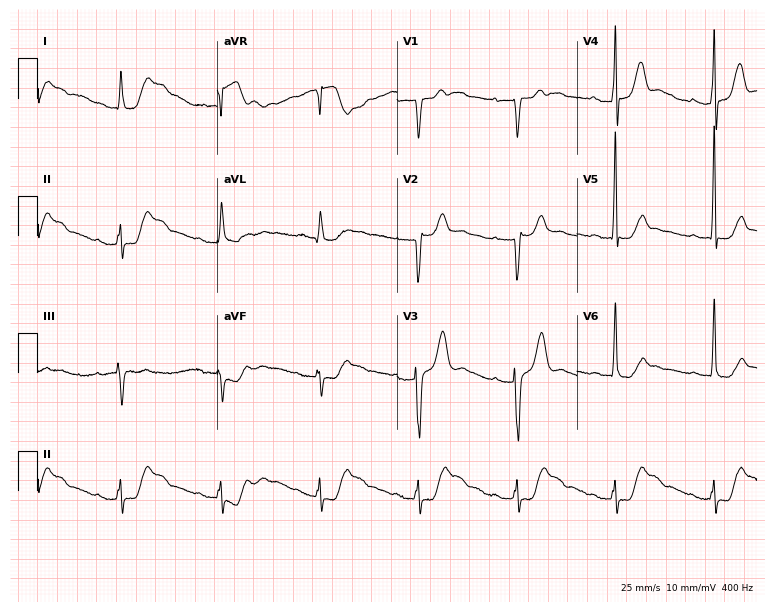
Standard 12-lead ECG recorded from a 68-year-old male patient (7.3-second recording at 400 Hz). None of these six findings is recorded: first-degree AV block, right bundle branch block, left bundle branch block, sinus bradycardia, atrial fibrillation, sinus tachycardia. Only these six findings were labelled.